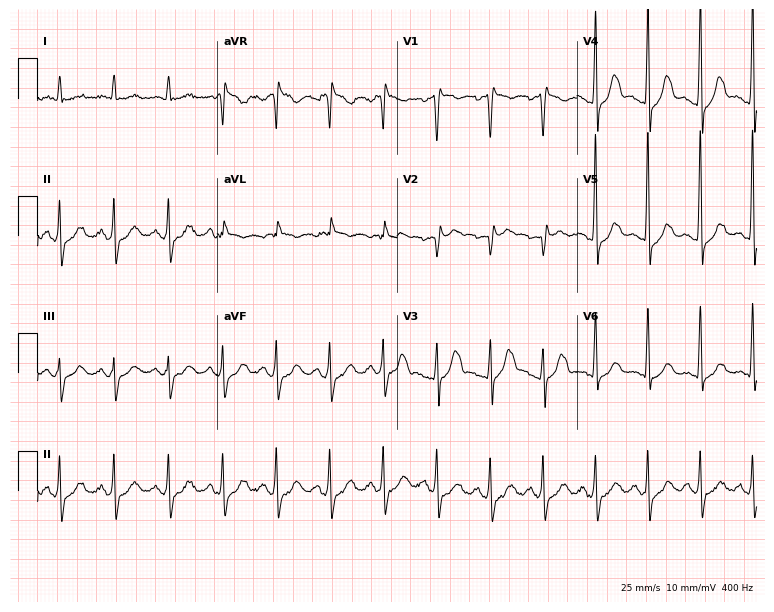
Standard 12-lead ECG recorded from a 46-year-old man. The tracing shows sinus tachycardia (a sinus rate of 100 beats per minute or more).